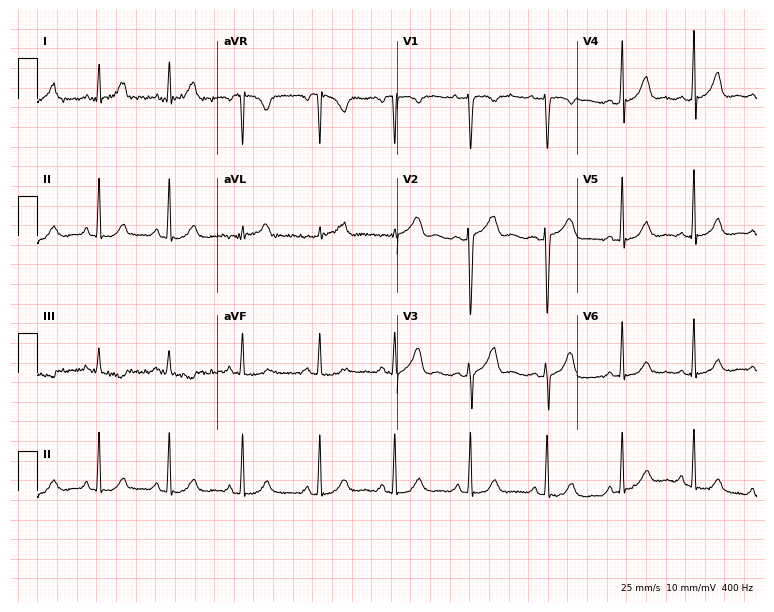
12-lead ECG (7.3-second recording at 400 Hz) from a 24-year-old female. Labelled as a normal ECG.